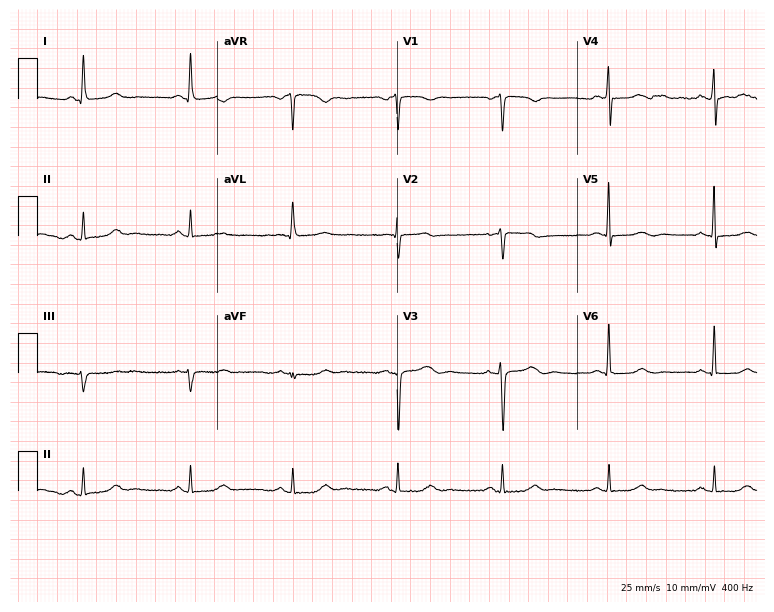
12-lead ECG (7.3-second recording at 400 Hz) from a 75-year-old female patient. Screened for six findings — first-degree AV block, right bundle branch block, left bundle branch block, sinus bradycardia, atrial fibrillation, sinus tachycardia — none is recorded.